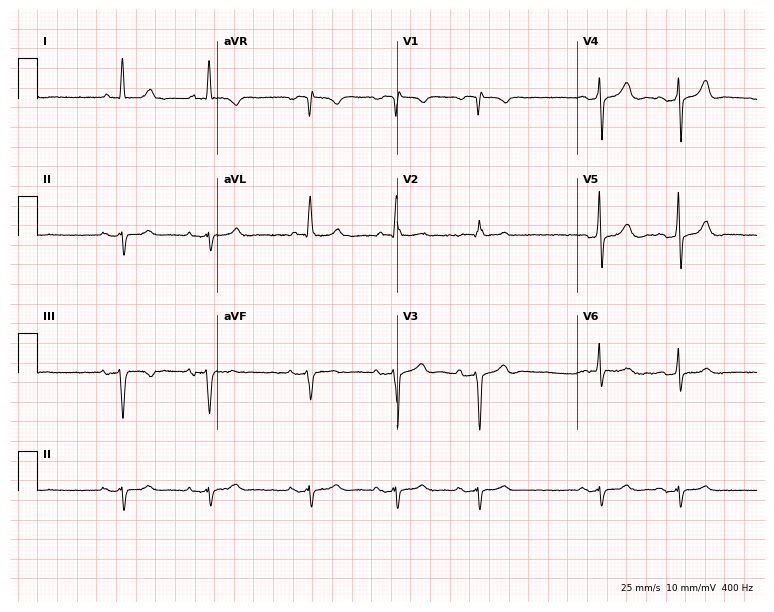
ECG — an 84-year-old male. Screened for six findings — first-degree AV block, right bundle branch block (RBBB), left bundle branch block (LBBB), sinus bradycardia, atrial fibrillation (AF), sinus tachycardia — none is recorded. Findings outside these six are not listed.